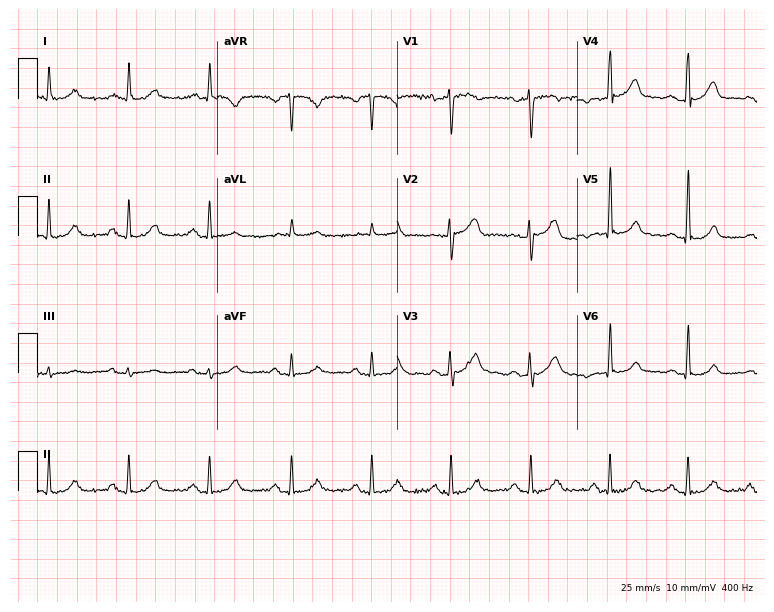
12-lead ECG (7.3-second recording at 400 Hz) from a 63-year-old man. Screened for six findings — first-degree AV block, right bundle branch block, left bundle branch block, sinus bradycardia, atrial fibrillation, sinus tachycardia — none is recorded.